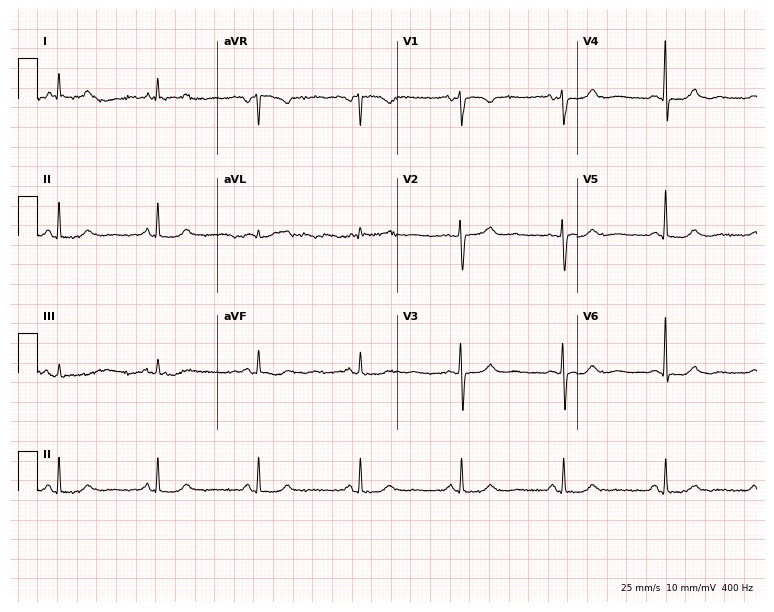
Standard 12-lead ECG recorded from a female patient, 76 years old (7.3-second recording at 400 Hz). None of these six findings is recorded: first-degree AV block, right bundle branch block, left bundle branch block, sinus bradycardia, atrial fibrillation, sinus tachycardia.